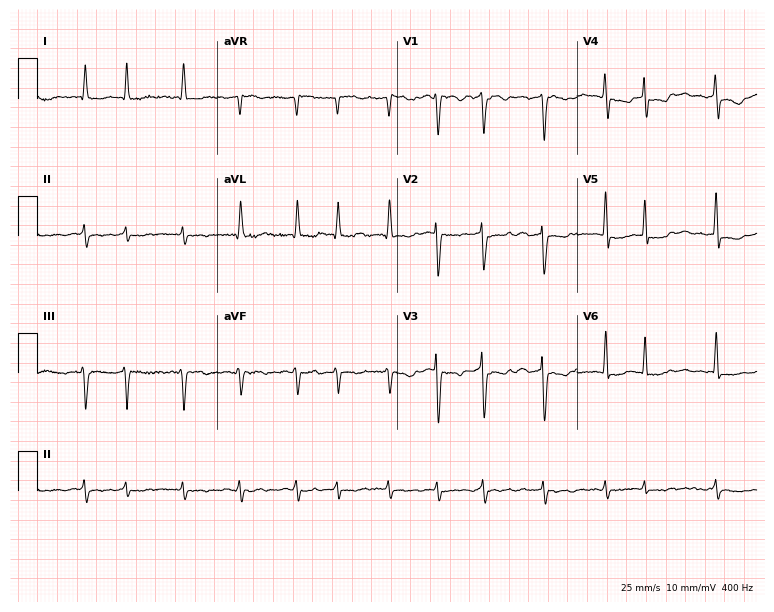
12-lead ECG from a female, 79 years old. Findings include atrial fibrillation.